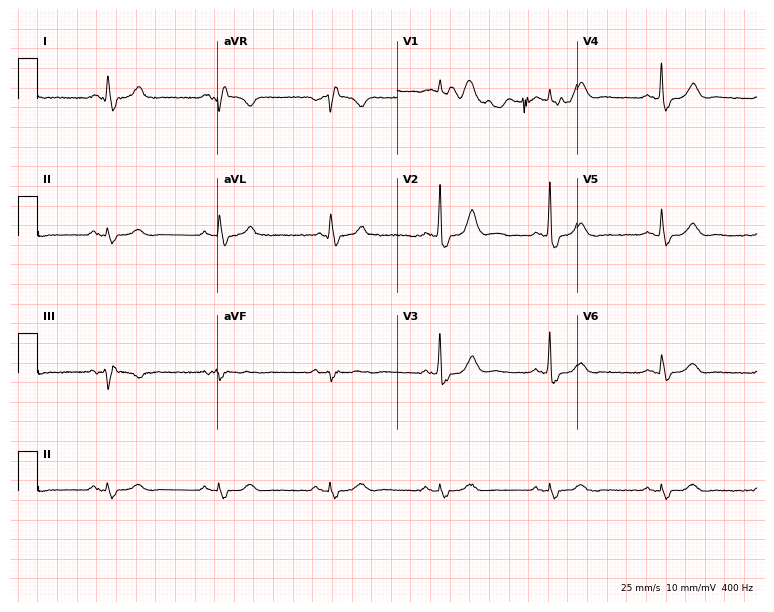
Resting 12-lead electrocardiogram. Patient: a 78-year-old male. The tracing shows right bundle branch block.